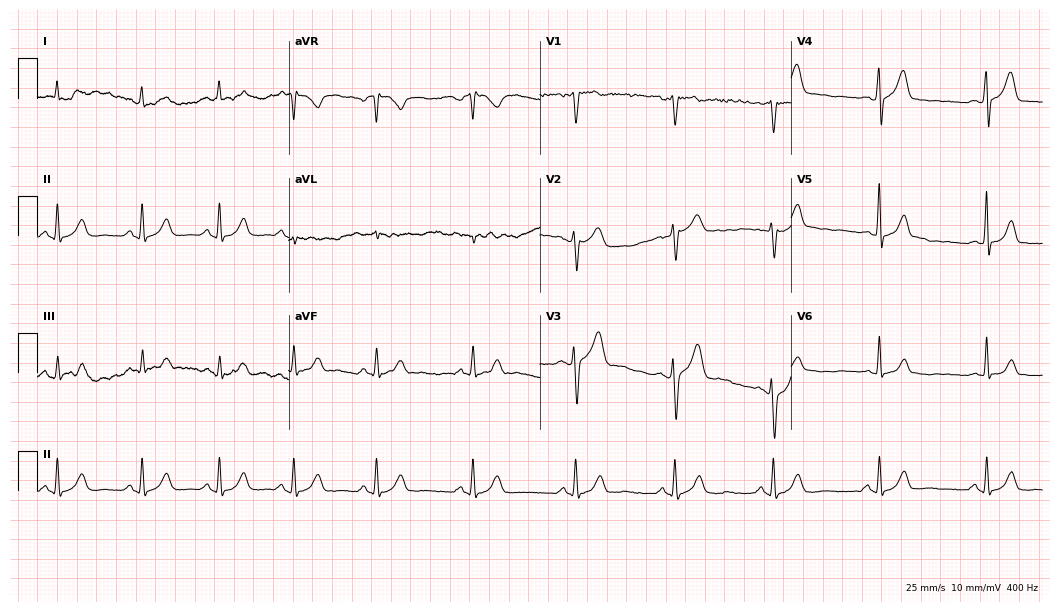
Resting 12-lead electrocardiogram. Patient: a 60-year-old male. Read as a normal ECG.